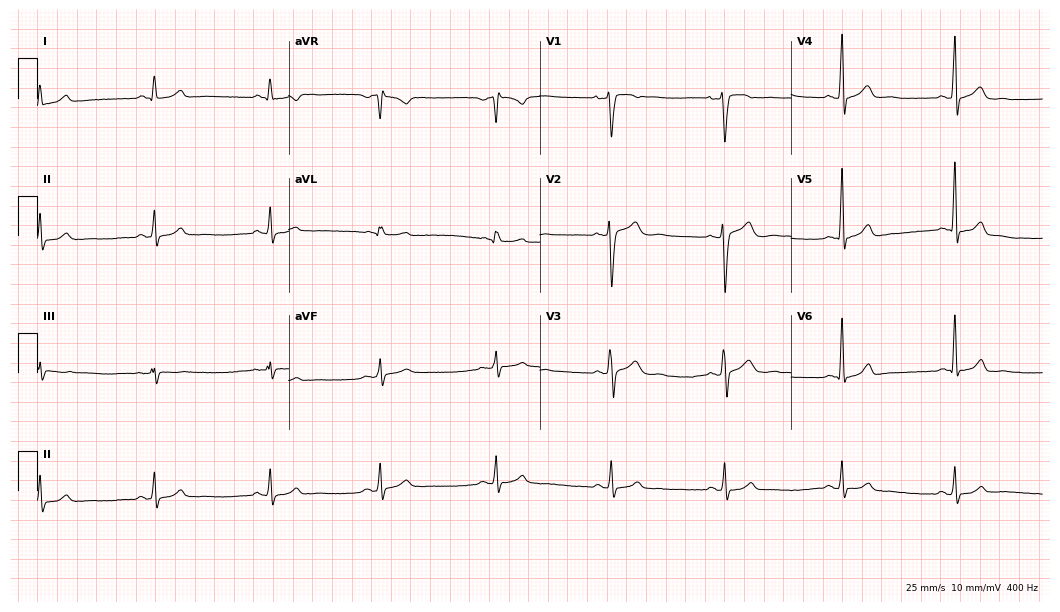
Standard 12-lead ECG recorded from a female, 41 years old. None of these six findings is recorded: first-degree AV block, right bundle branch block, left bundle branch block, sinus bradycardia, atrial fibrillation, sinus tachycardia. Only these six findings were labelled.